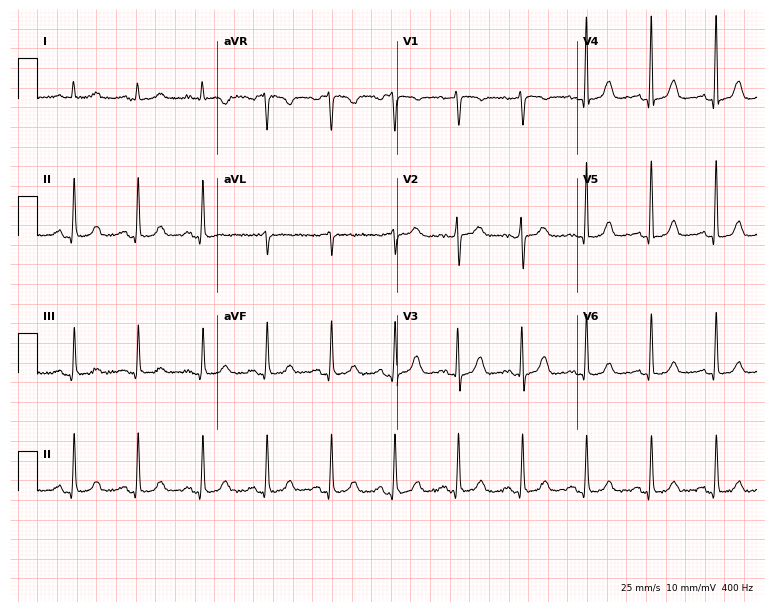
Resting 12-lead electrocardiogram. Patient: an 82-year-old female. Read as a normal ECG.